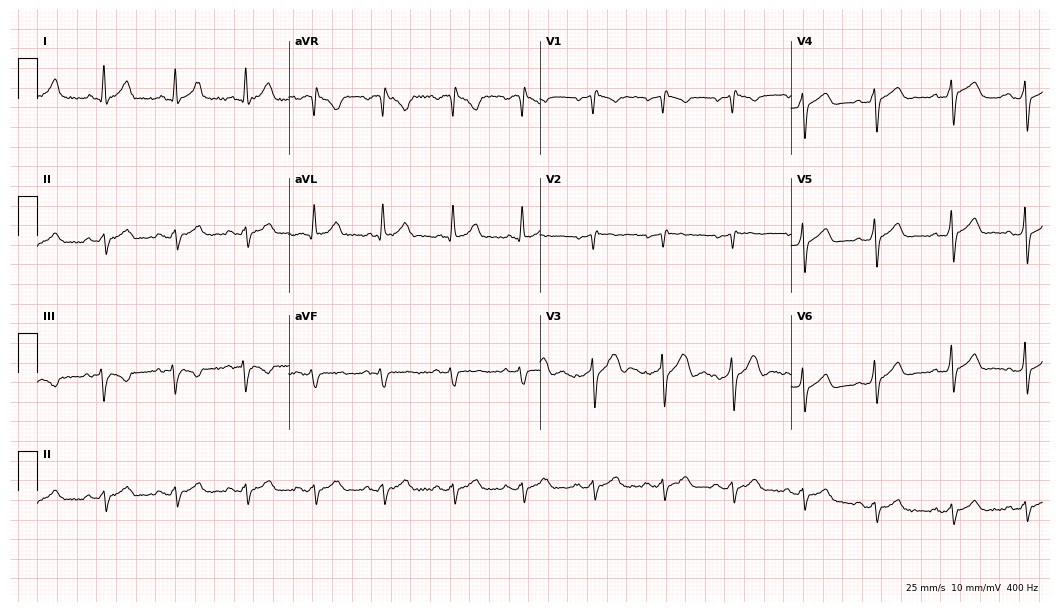
Standard 12-lead ECG recorded from a 45-year-old male patient (10.2-second recording at 400 Hz). None of these six findings is recorded: first-degree AV block, right bundle branch block (RBBB), left bundle branch block (LBBB), sinus bradycardia, atrial fibrillation (AF), sinus tachycardia. Only these six findings were labelled.